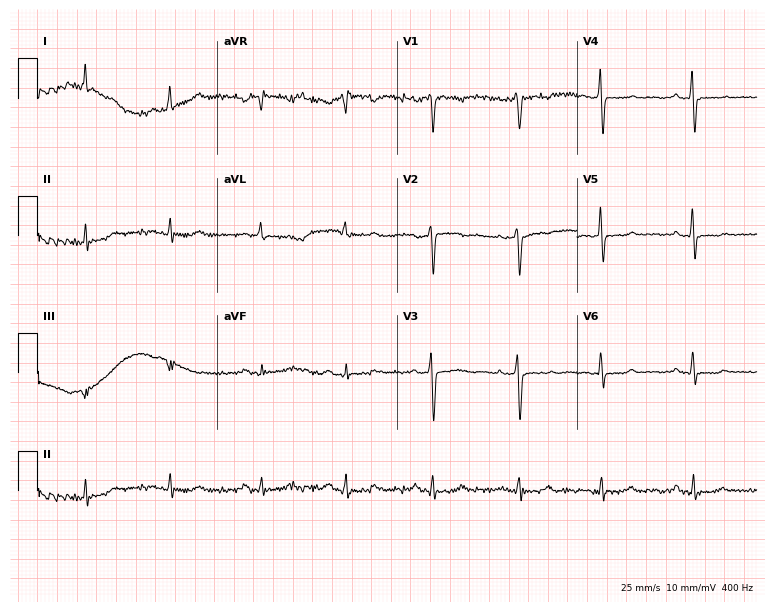
Electrocardiogram (7.3-second recording at 400 Hz), a 45-year-old female patient. Of the six screened findings (first-degree AV block, right bundle branch block, left bundle branch block, sinus bradycardia, atrial fibrillation, sinus tachycardia), none is recorded.